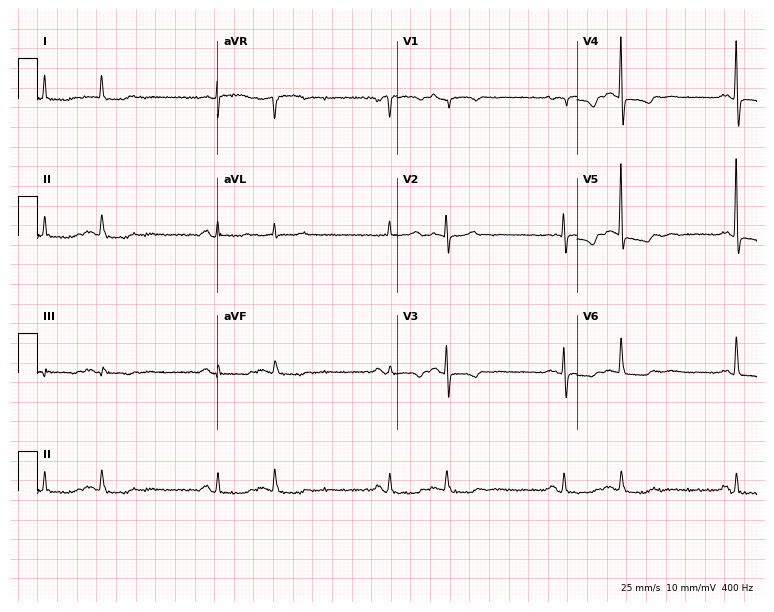
Electrocardiogram, a female patient, 72 years old. Of the six screened findings (first-degree AV block, right bundle branch block (RBBB), left bundle branch block (LBBB), sinus bradycardia, atrial fibrillation (AF), sinus tachycardia), none is recorded. Other findings, if any, are not listed.